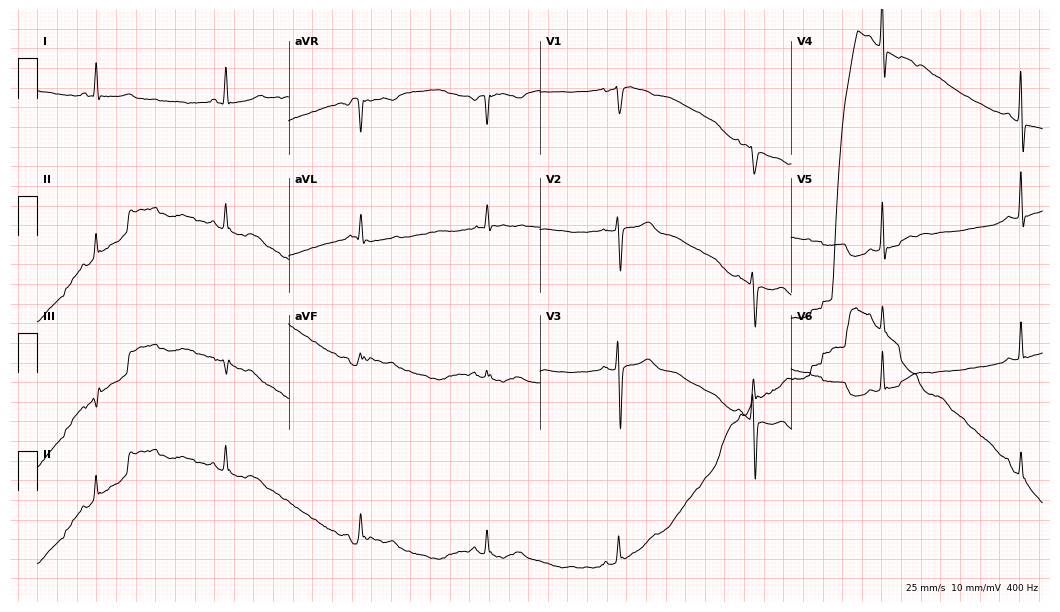
Electrocardiogram, a 53-year-old female. Interpretation includes sinus bradycardia (a sinus rate of 50 beats per minute or less).